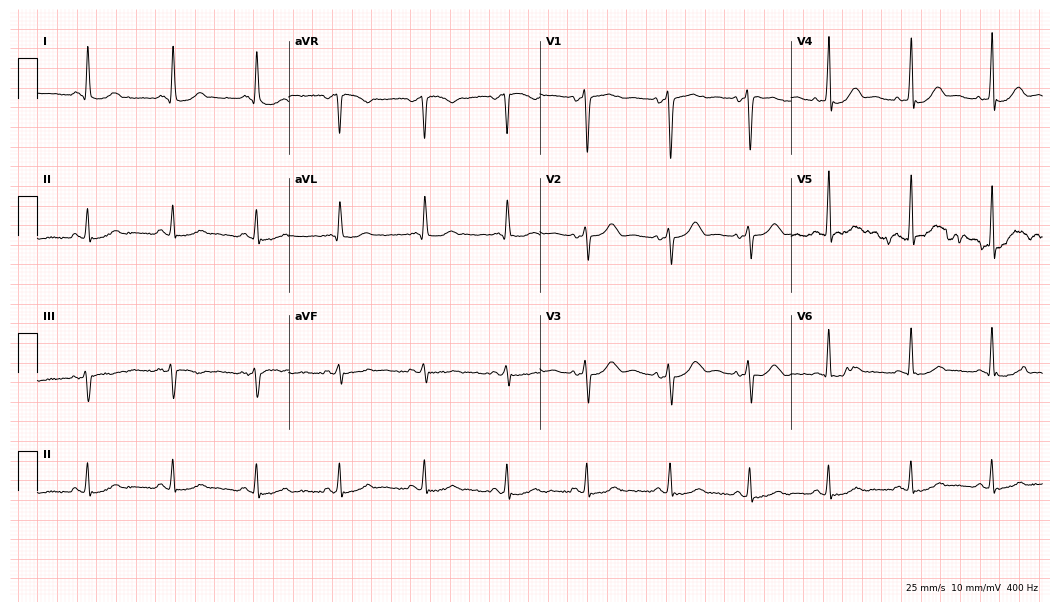
12-lead ECG (10.2-second recording at 400 Hz) from a female, 40 years old. Screened for six findings — first-degree AV block, right bundle branch block (RBBB), left bundle branch block (LBBB), sinus bradycardia, atrial fibrillation (AF), sinus tachycardia — none is recorded. Findings outside these six are not listed.